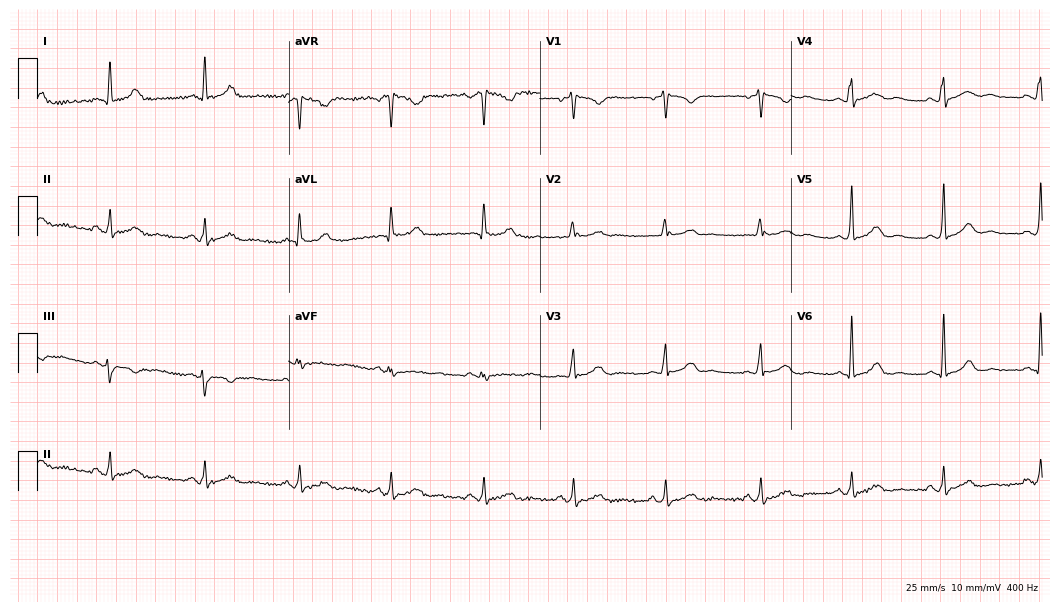
12-lead ECG from a woman, 50 years old. No first-degree AV block, right bundle branch block, left bundle branch block, sinus bradycardia, atrial fibrillation or sinus tachycardia recorded for this tracing. Other findings, if any, are not listed.